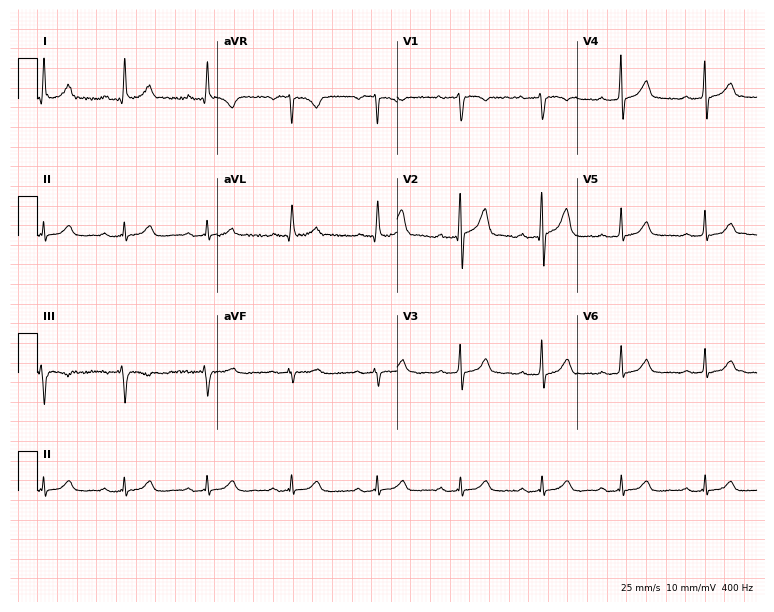
12-lead ECG (7.3-second recording at 400 Hz) from a 59-year-old woman. Labelled as a normal ECG.